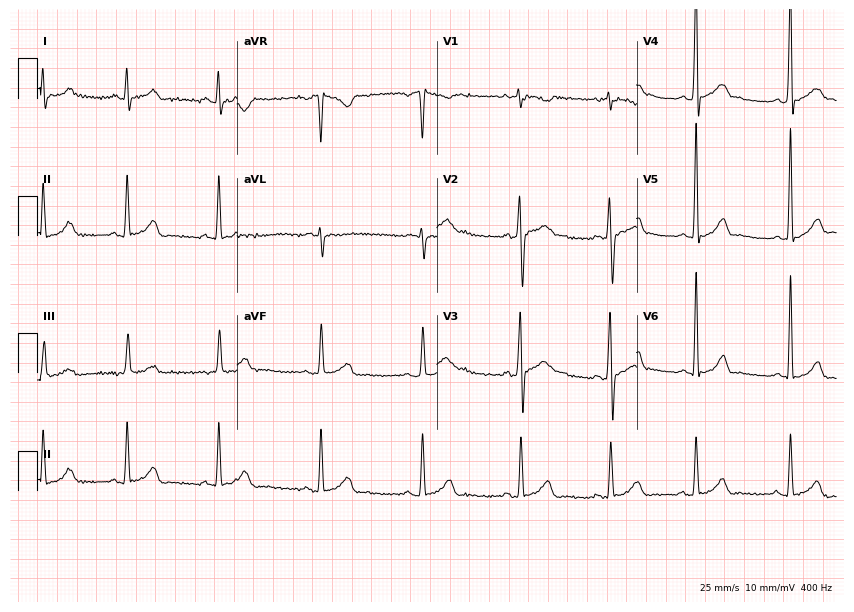
Resting 12-lead electrocardiogram. Patient: a man, 18 years old. Read as a normal ECG.